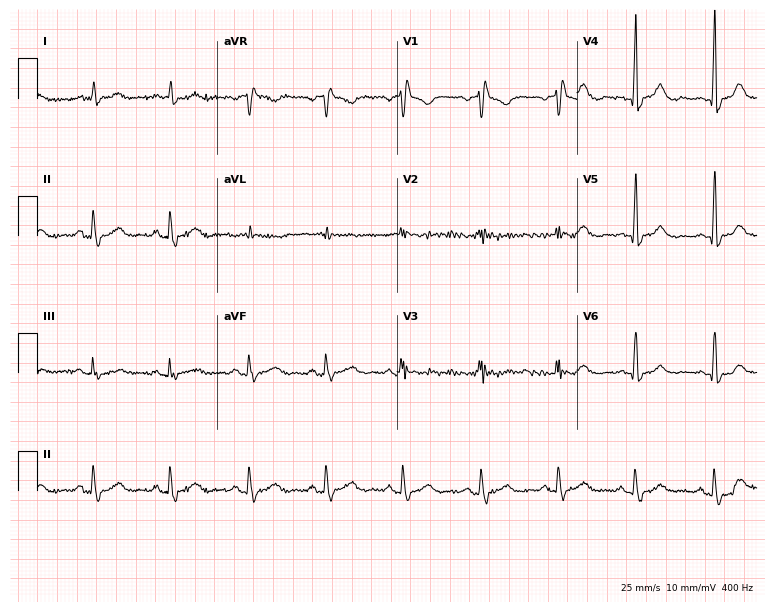
Resting 12-lead electrocardiogram. Patient: a 46-year-old man. The tracing shows right bundle branch block.